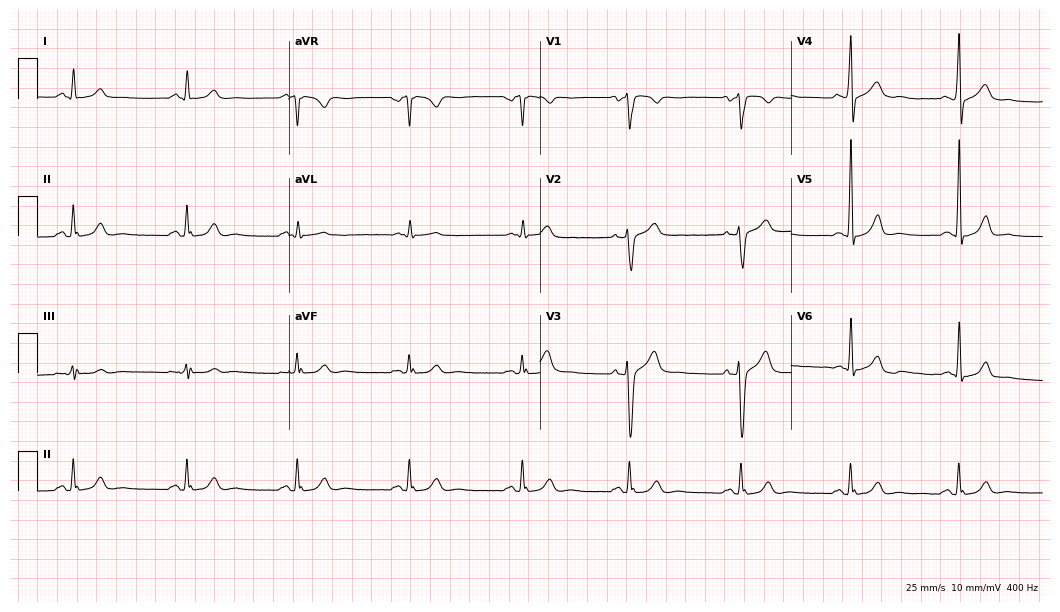
Electrocardiogram, a male patient, 58 years old. Of the six screened findings (first-degree AV block, right bundle branch block, left bundle branch block, sinus bradycardia, atrial fibrillation, sinus tachycardia), none is recorded.